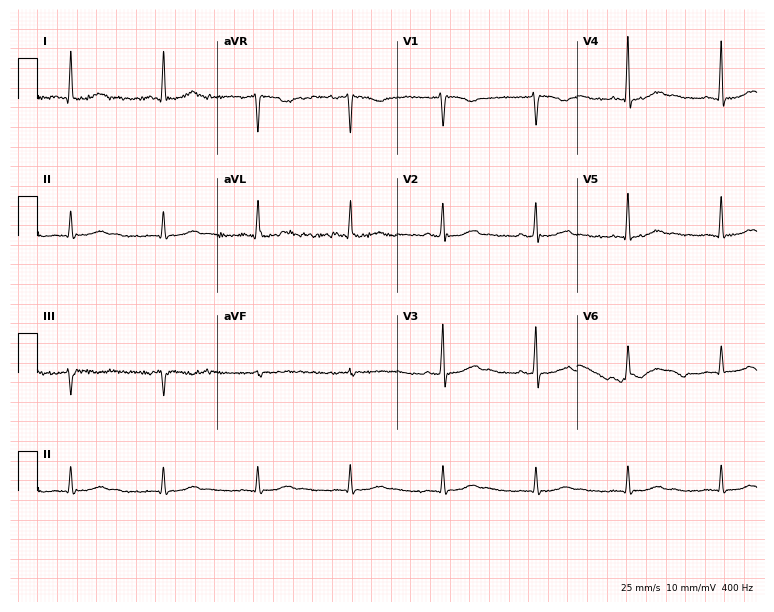
ECG — a 72-year-old female patient. Labelled as a normal ECG.